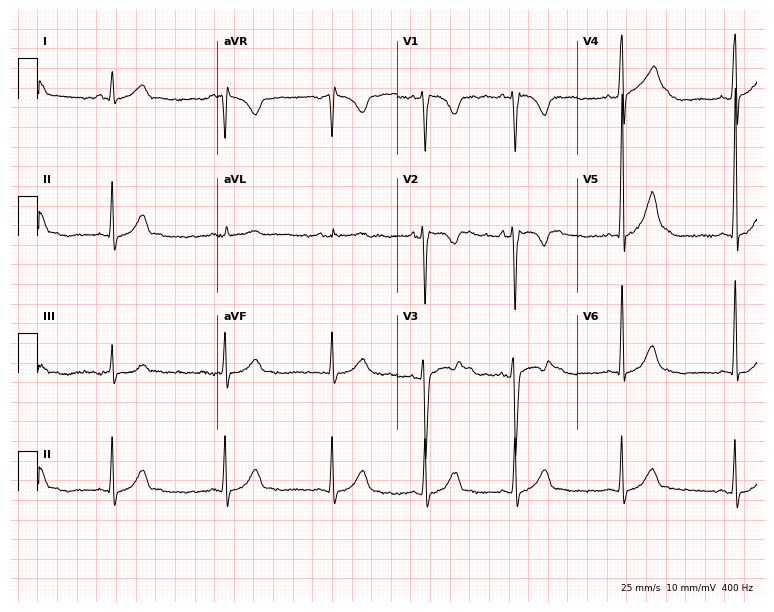
Resting 12-lead electrocardiogram. Patient: a man, 17 years old. Read as a normal ECG.